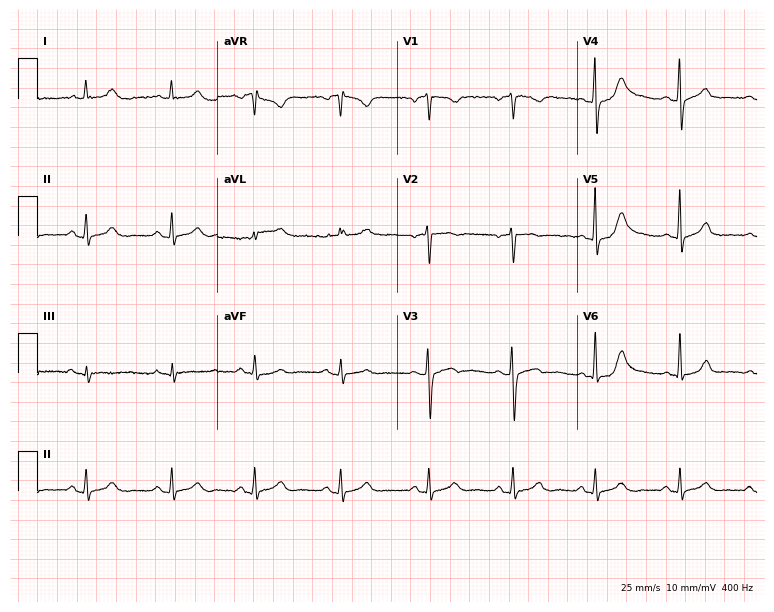
Standard 12-lead ECG recorded from a woman, 48 years old. Read as a normal ECG.